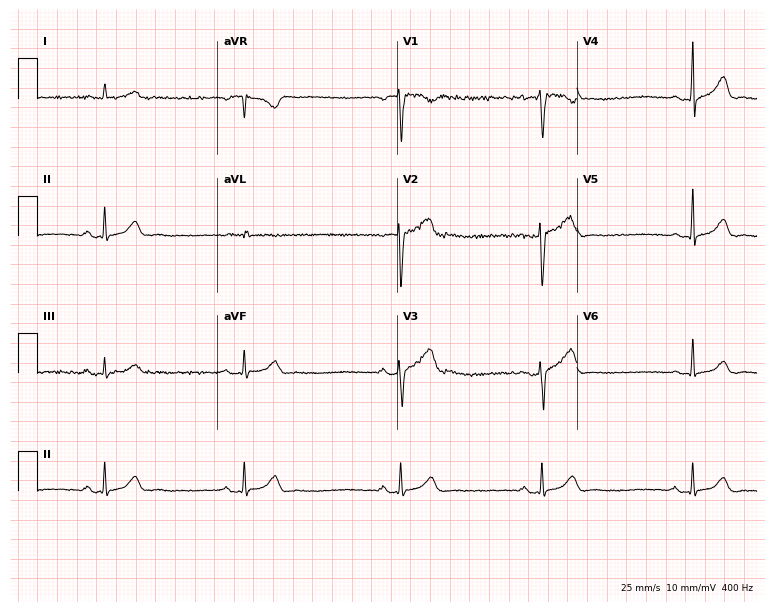
12-lead ECG from a 36-year-old male. Findings include first-degree AV block, sinus bradycardia (a sinus rate of 50 beats per minute or less).